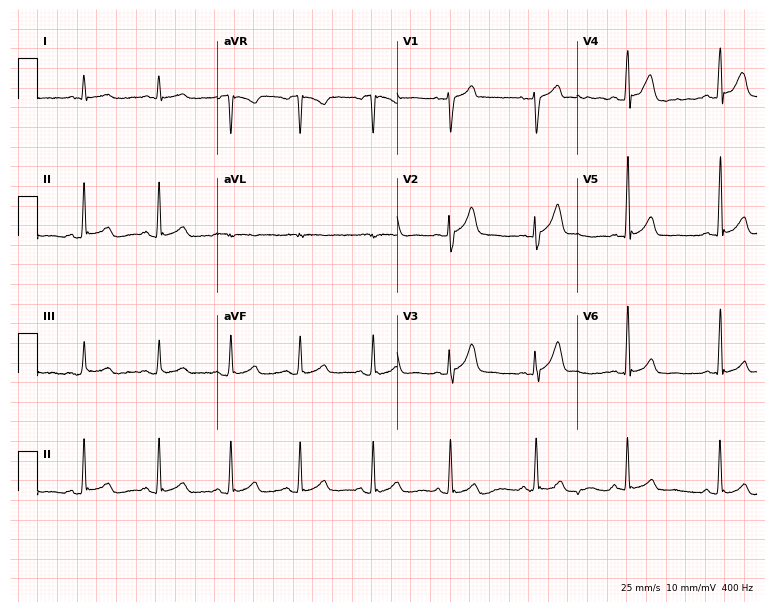
12-lead ECG from a male patient, 51 years old. Labelled as a normal ECG.